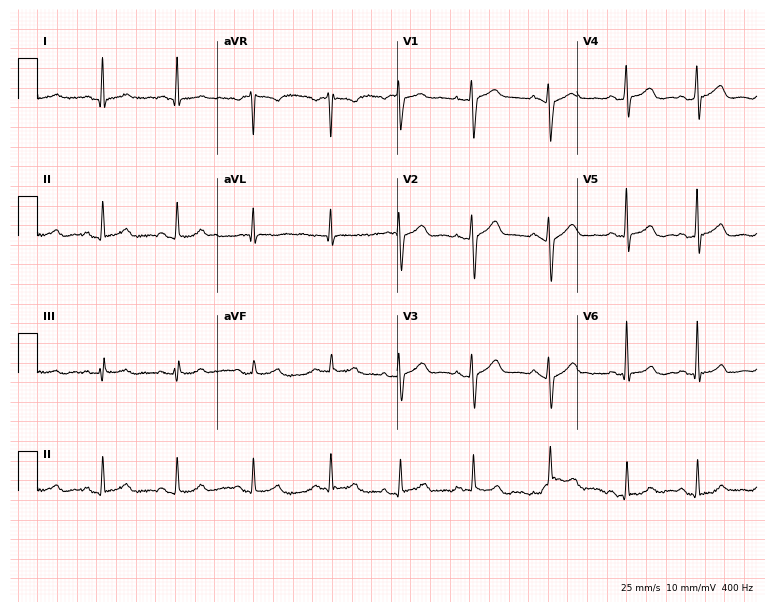
12-lead ECG from a 36-year-old woman (7.3-second recording at 400 Hz). Recorded interpretation: within normal limits.